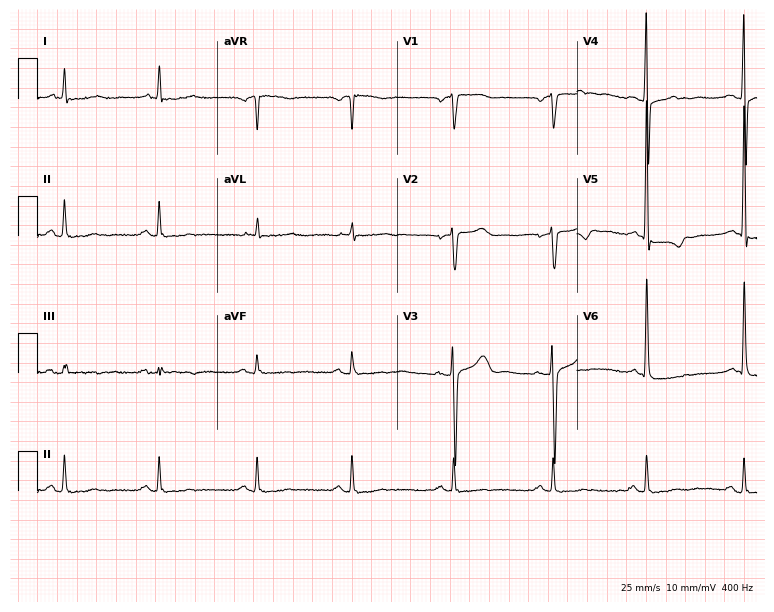
Standard 12-lead ECG recorded from a man, 80 years old (7.3-second recording at 400 Hz). None of these six findings is recorded: first-degree AV block, right bundle branch block, left bundle branch block, sinus bradycardia, atrial fibrillation, sinus tachycardia.